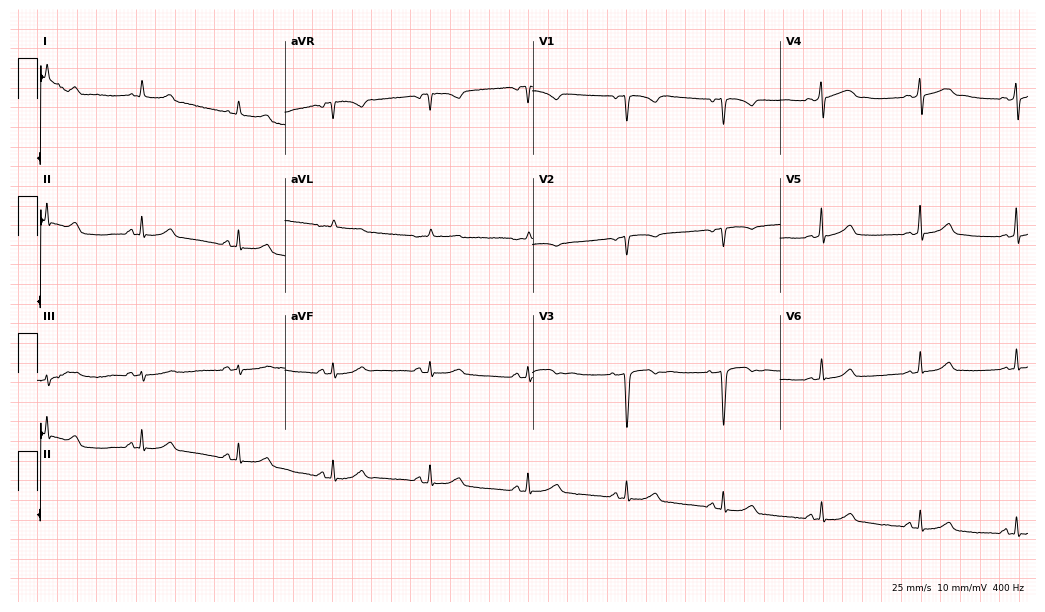
12-lead ECG (10.1-second recording at 400 Hz) from a 33-year-old woman. Screened for six findings — first-degree AV block, right bundle branch block (RBBB), left bundle branch block (LBBB), sinus bradycardia, atrial fibrillation (AF), sinus tachycardia — none is recorded.